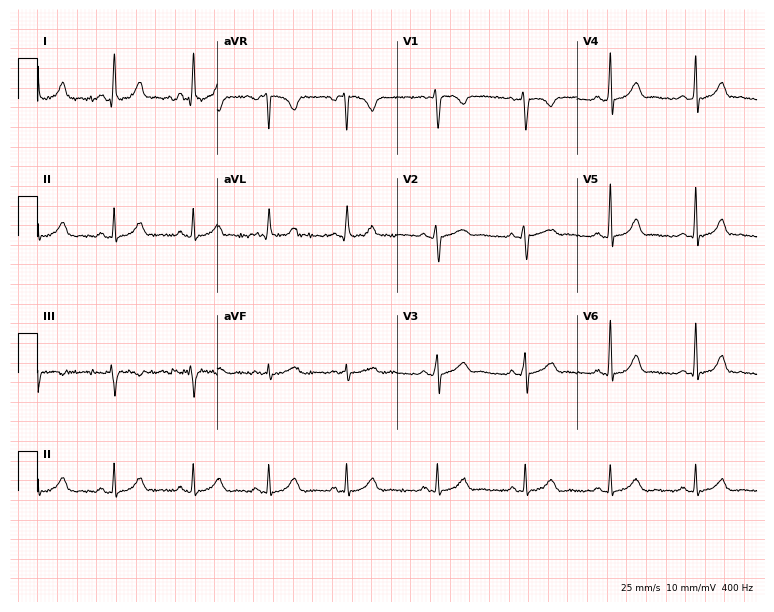
Electrocardiogram (7.3-second recording at 400 Hz), a female, 44 years old. Overall reading on record: normal ECG.